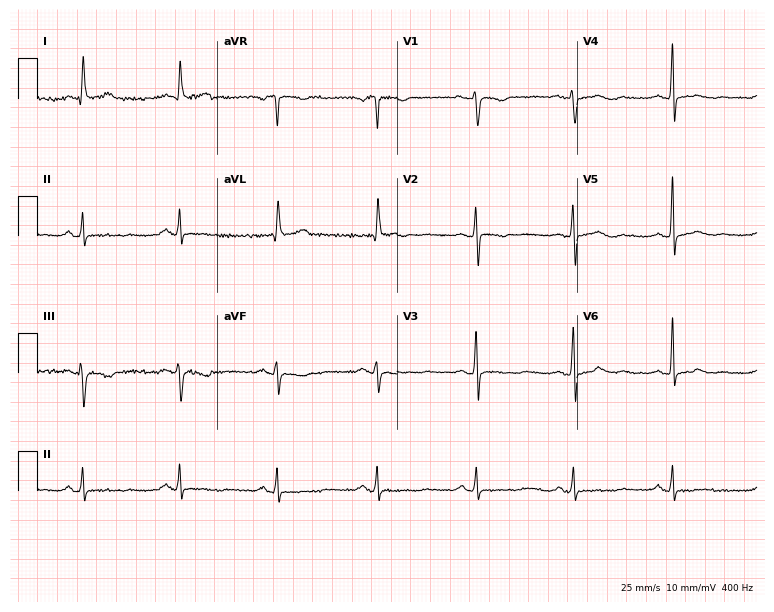
12-lead ECG from a female patient, 66 years old (7.3-second recording at 400 Hz). No first-degree AV block, right bundle branch block (RBBB), left bundle branch block (LBBB), sinus bradycardia, atrial fibrillation (AF) or sinus tachycardia recorded for this tracing.